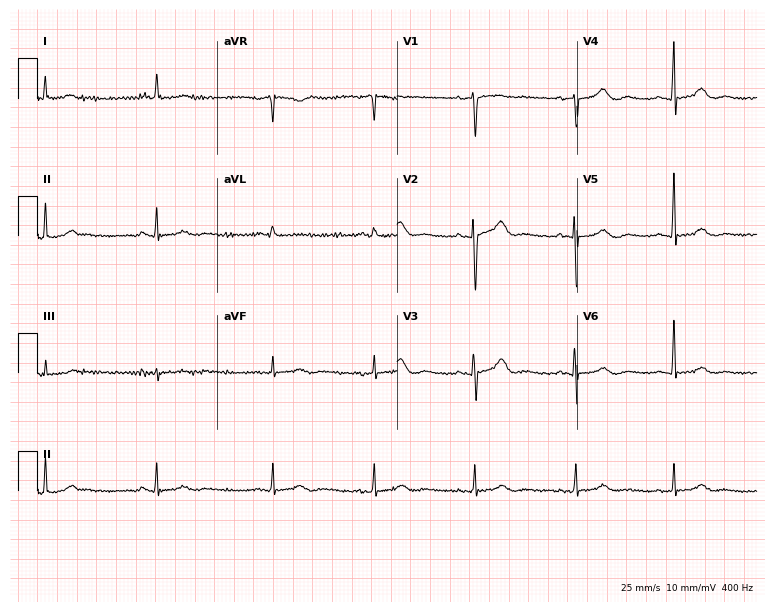
Standard 12-lead ECG recorded from a female, 72 years old. Read as a normal ECG.